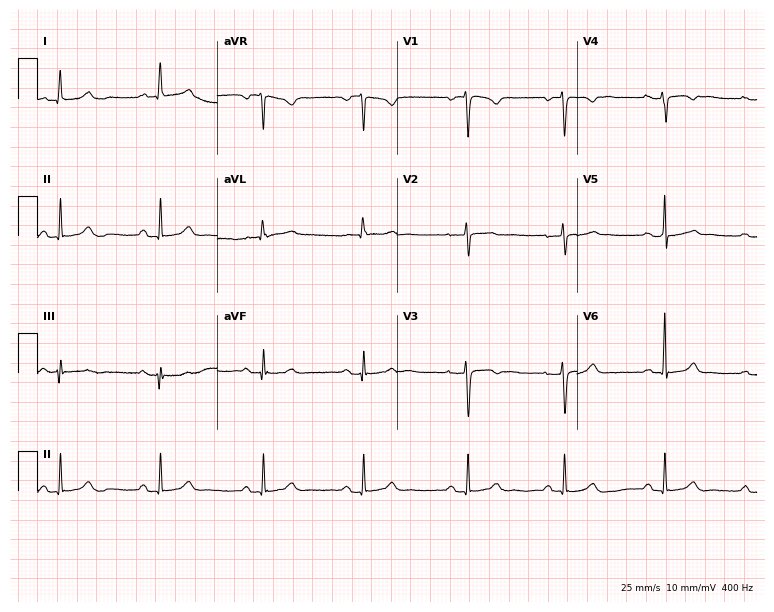
ECG (7.3-second recording at 400 Hz) — a 38-year-old female. Labelled as a normal ECG.